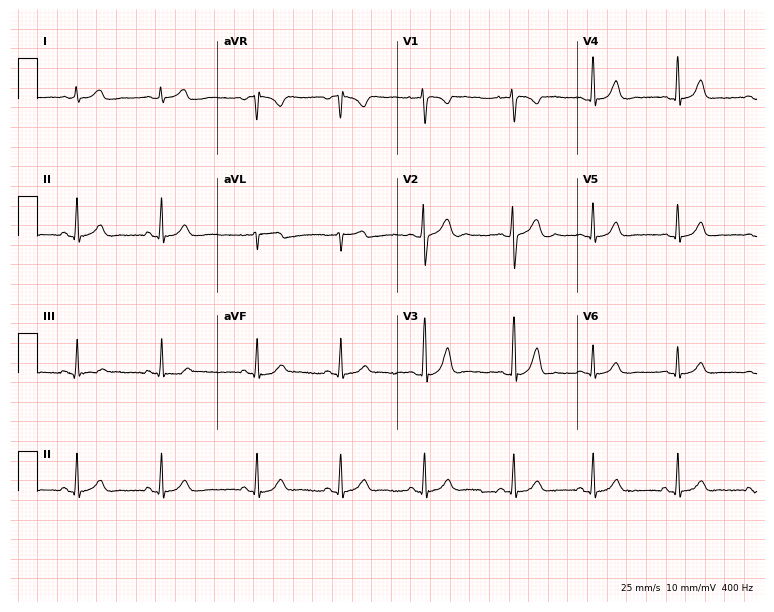
12-lead ECG (7.3-second recording at 400 Hz) from a female patient, 18 years old. Labelled as a normal ECG.